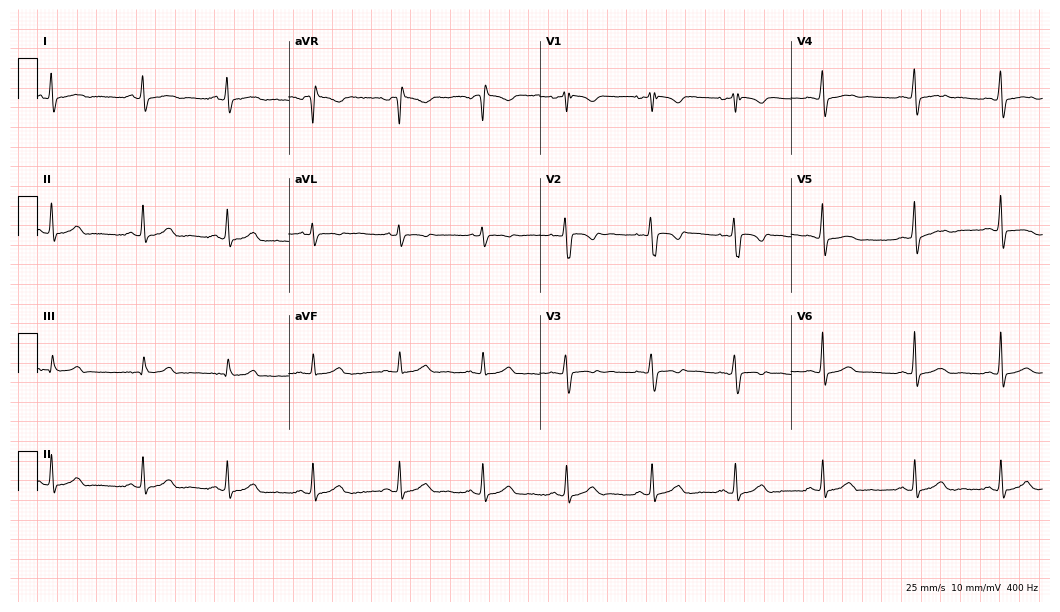
12-lead ECG (10.2-second recording at 400 Hz) from a female patient, 39 years old. Screened for six findings — first-degree AV block, right bundle branch block, left bundle branch block, sinus bradycardia, atrial fibrillation, sinus tachycardia — none is recorded. Other findings, if any, are not listed.